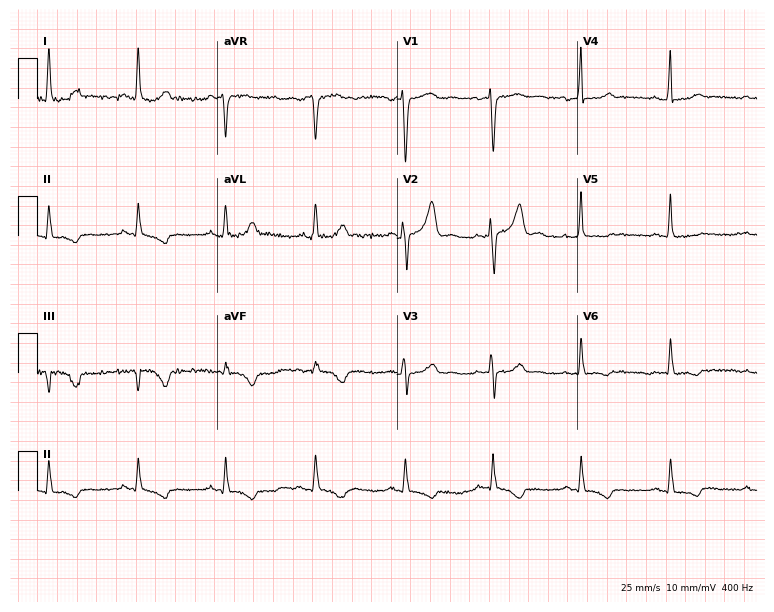
12-lead ECG from a 51-year-old female. Screened for six findings — first-degree AV block, right bundle branch block, left bundle branch block, sinus bradycardia, atrial fibrillation, sinus tachycardia — none is recorded.